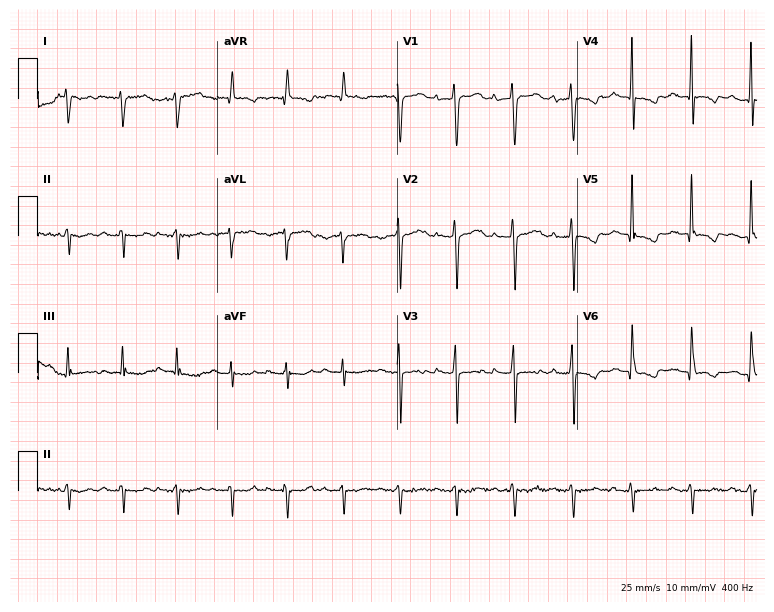
12-lead ECG from an 85-year-old woman (7.3-second recording at 400 Hz). No first-degree AV block, right bundle branch block, left bundle branch block, sinus bradycardia, atrial fibrillation or sinus tachycardia recorded for this tracing.